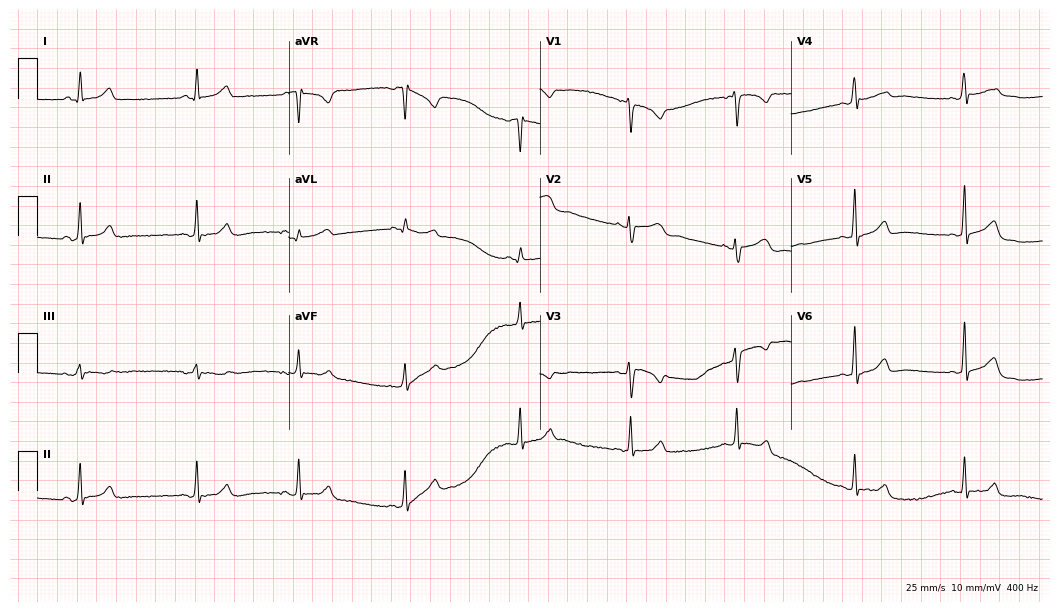
12-lead ECG from a 17-year-old woman. Labelled as a normal ECG.